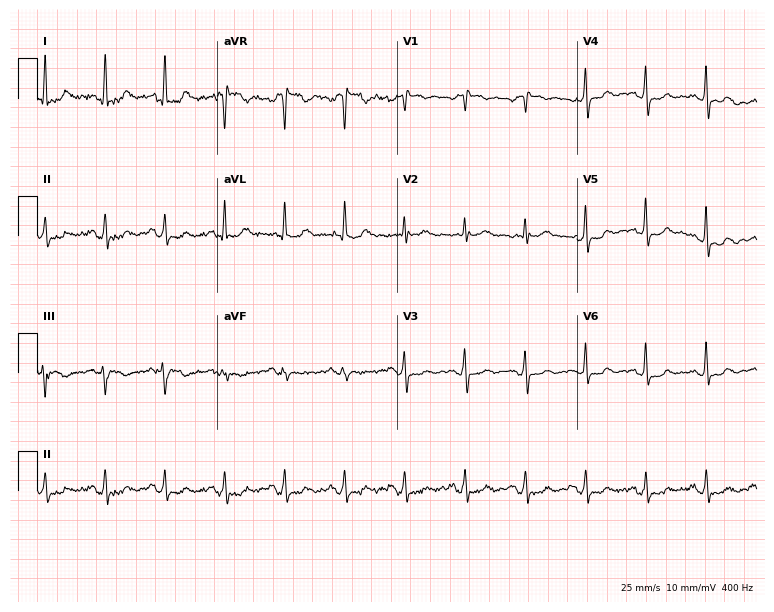
12-lead ECG from an 84-year-old female patient (7.3-second recording at 400 Hz). No first-degree AV block, right bundle branch block (RBBB), left bundle branch block (LBBB), sinus bradycardia, atrial fibrillation (AF) or sinus tachycardia recorded for this tracing. Only these six findings were labelled.